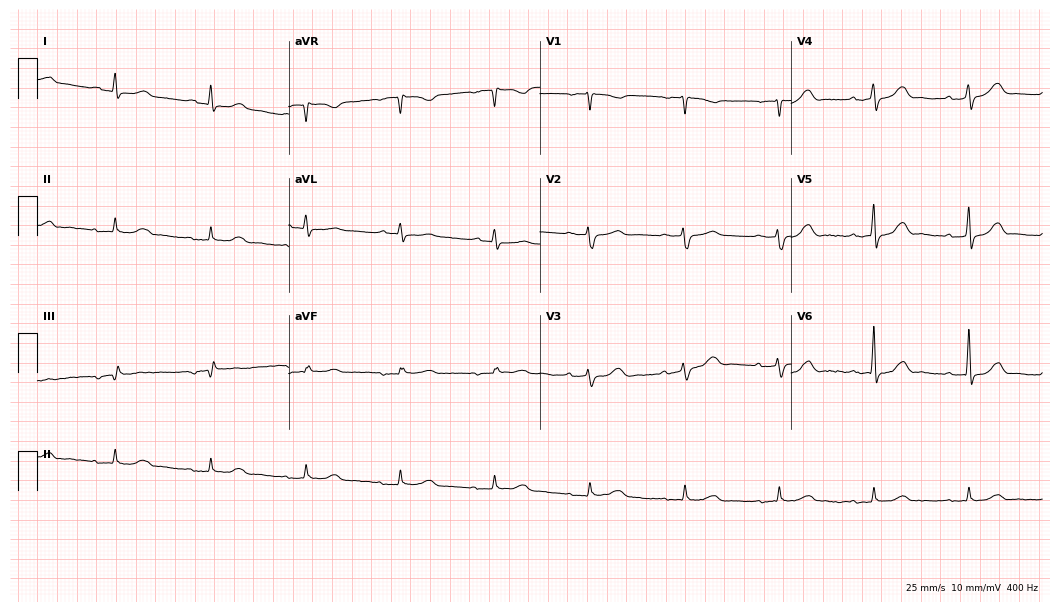
Standard 12-lead ECG recorded from a 77-year-old man. None of these six findings is recorded: first-degree AV block, right bundle branch block, left bundle branch block, sinus bradycardia, atrial fibrillation, sinus tachycardia. Findings outside these six are not listed.